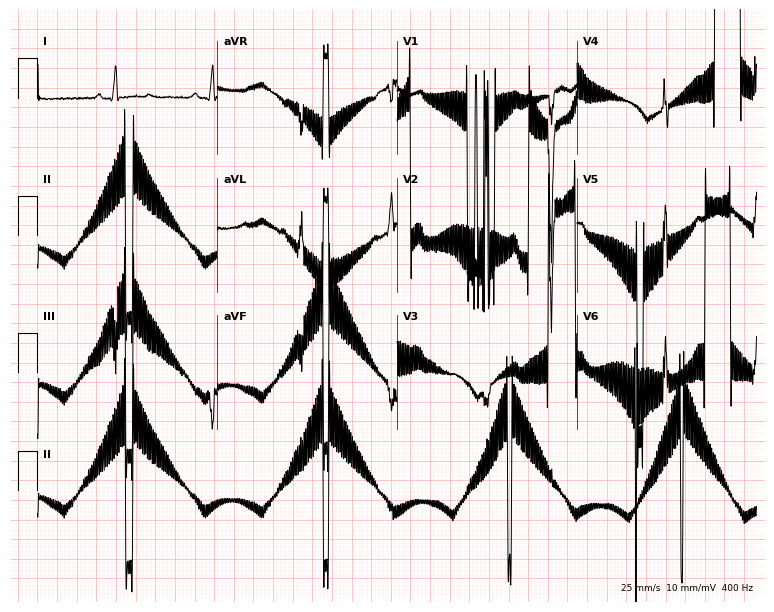
12-lead ECG from a man, 56 years old. No first-degree AV block, right bundle branch block, left bundle branch block, sinus bradycardia, atrial fibrillation or sinus tachycardia recorded for this tracing. Other findings, if any, are not listed.